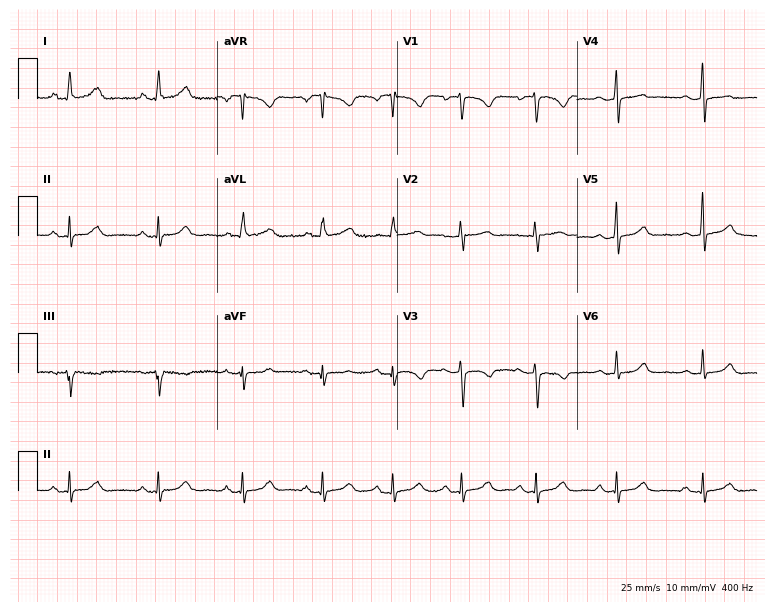
Standard 12-lead ECG recorded from a female, 27 years old. Read as a normal ECG.